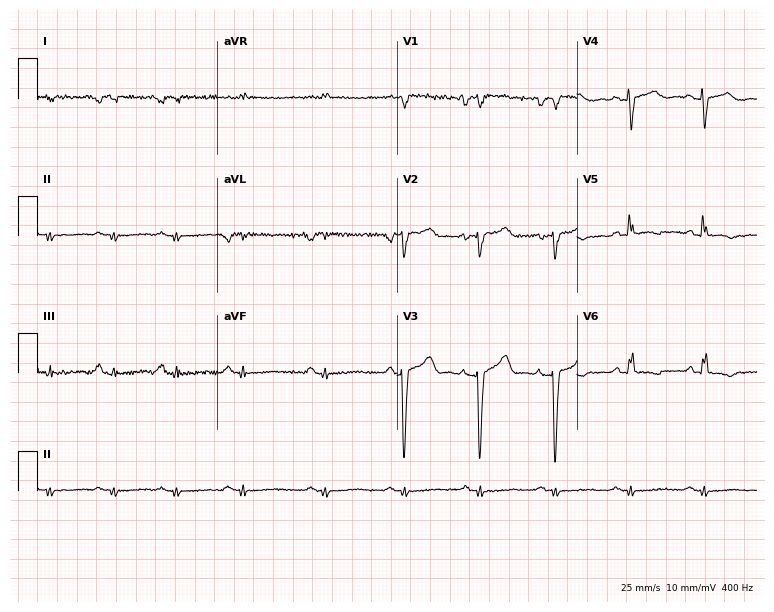
Resting 12-lead electrocardiogram. Patient: a 37-year-old man. None of these six findings is recorded: first-degree AV block, right bundle branch block (RBBB), left bundle branch block (LBBB), sinus bradycardia, atrial fibrillation (AF), sinus tachycardia. Other findings, if any, are not listed.